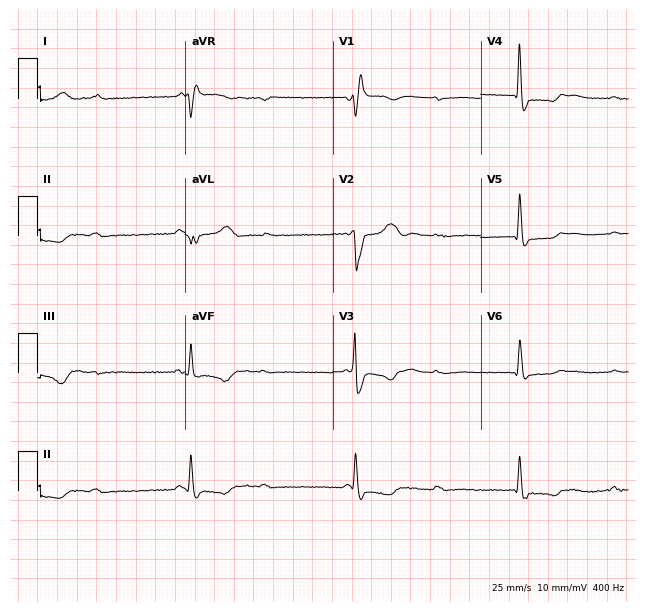
12-lead ECG from a female, 72 years old. Screened for six findings — first-degree AV block, right bundle branch block (RBBB), left bundle branch block (LBBB), sinus bradycardia, atrial fibrillation (AF), sinus tachycardia — none is recorded. Other findings, if any, are not listed.